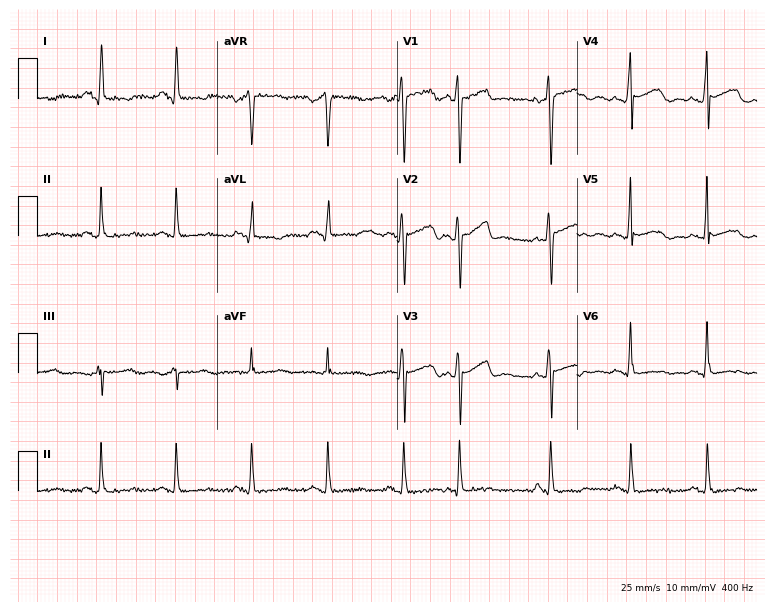
12-lead ECG from a 47-year-old female (7.3-second recording at 400 Hz). No first-degree AV block, right bundle branch block, left bundle branch block, sinus bradycardia, atrial fibrillation or sinus tachycardia recorded for this tracing.